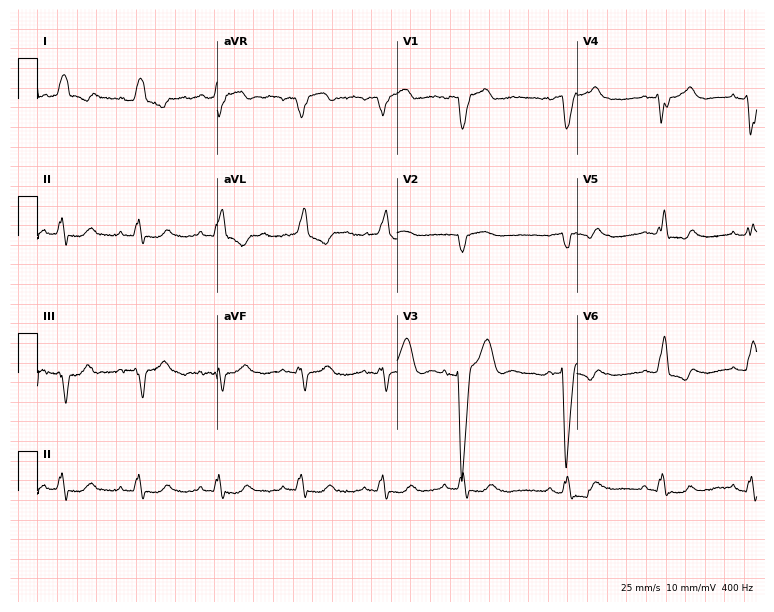
Resting 12-lead electrocardiogram (7.3-second recording at 400 Hz). Patient: a female, 83 years old. The tracing shows left bundle branch block.